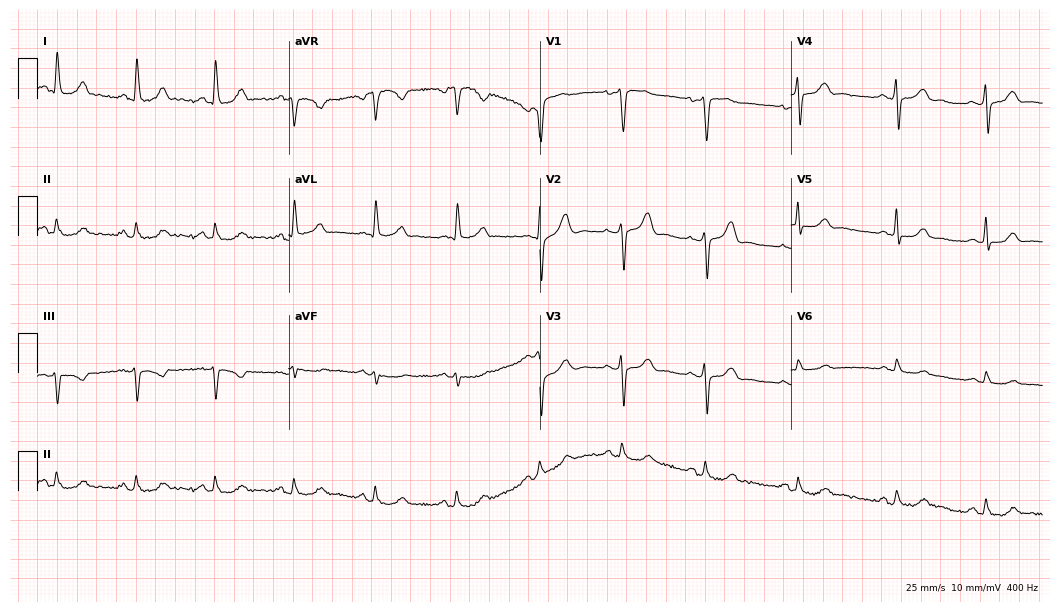
12-lead ECG from a 62-year-old female patient. Recorded interpretation: within normal limits.